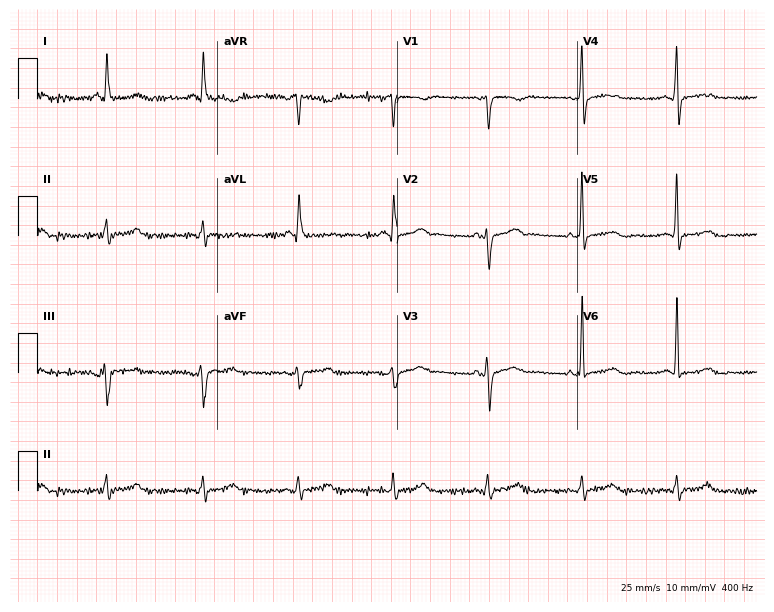
Electrocardiogram (7.3-second recording at 400 Hz), a female, 69 years old. Of the six screened findings (first-degree AV block, right bundle branch block (RBBB), left bundle branch block (LBBB), sinus bradycardia, atrial fibrillation (AF), sinus tachycardia), none is recorded. Findings outside these six are not listed.